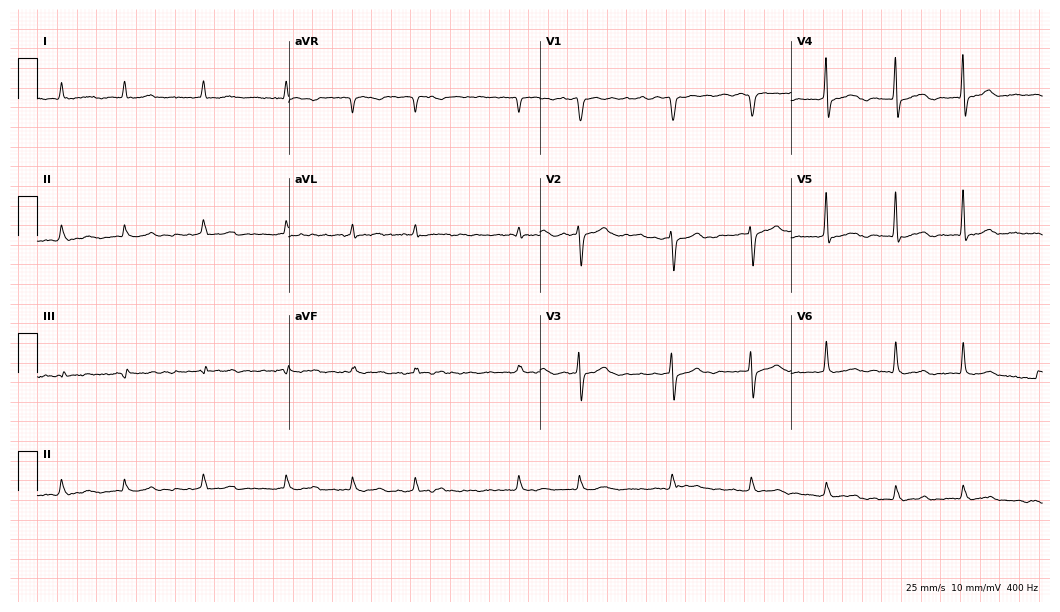
Electrocardiogram (10.2-second recording at 400 Hz), a female, 73 years old. Interpretation includes atrial fibrillation (AF).